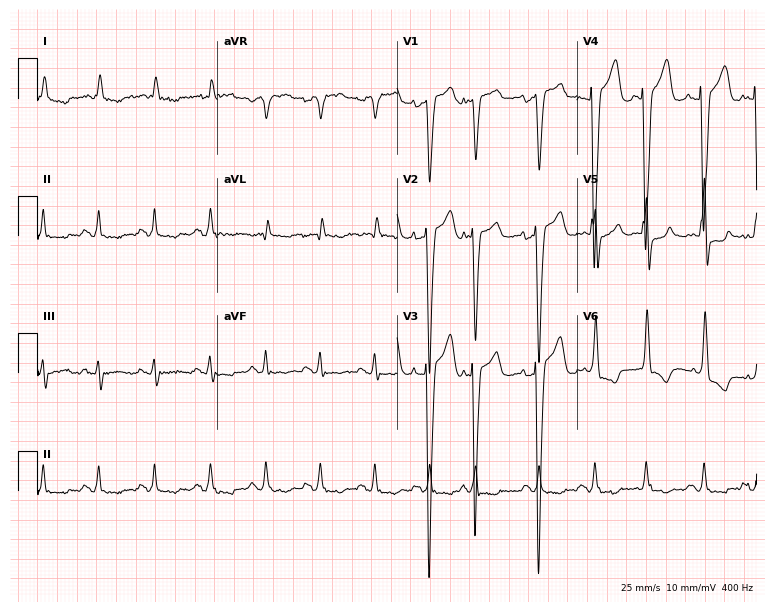
12-lead ECG (7.3-second recording at 400 Hz) from a 78-year-old man. Screened for six findings — first-degree AV block, right bundle branch block, left bundle branch block, sinus bradycardia, atrial fibrillation, sinus tachycardia — none is recorded. Other findings, if any, are not listed.